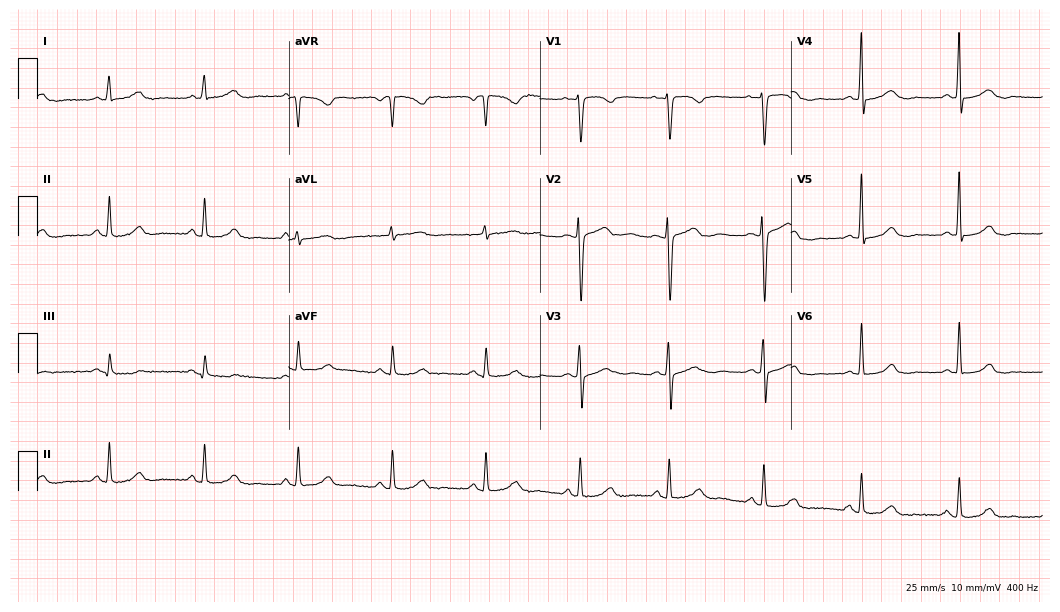
Electrocardiogram, a woman, 47 years old. Overall reading on record: normal ECG.